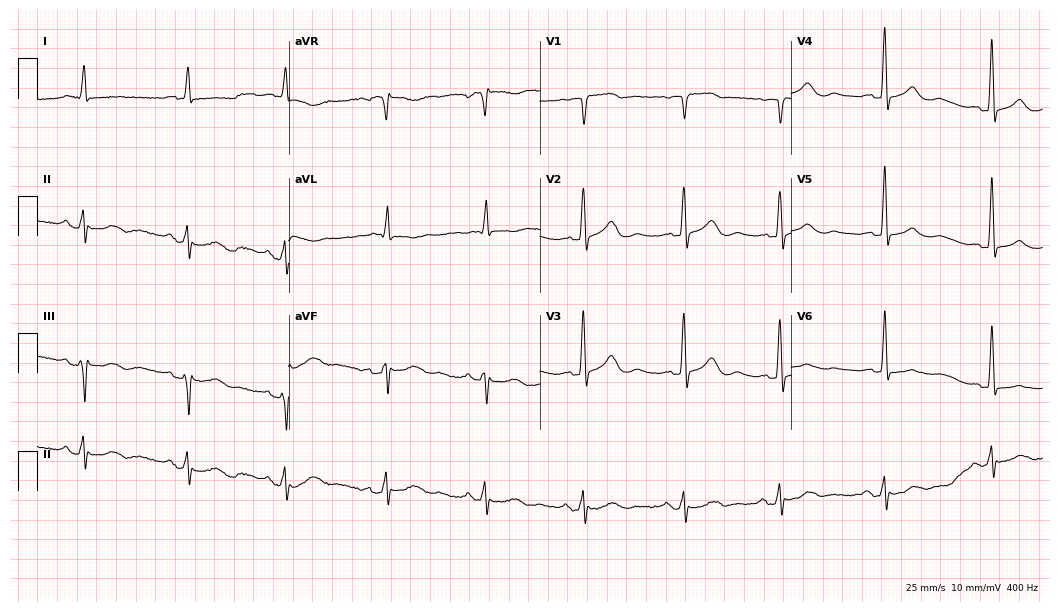
ECG — a female, 68 years old. Screened for six findings — first-degree AV block, right bundle branch block, left bundle branch block, sinus bradycardia, atrial fibrillation, sinus tachycardia — none is recorded. Findings outside these six are not listed.